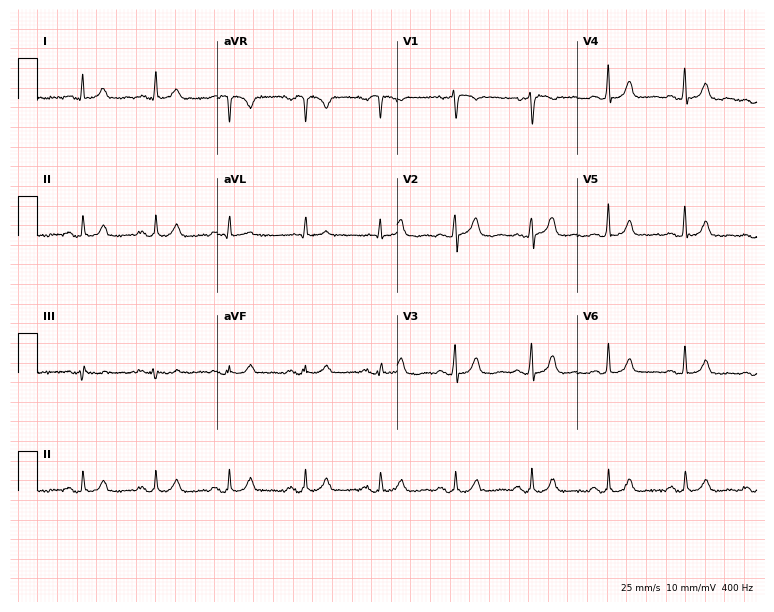
12-lead ECG from a female, 71 years old. No first-degree AV block, right bundle branch block, left bundle branch block, sinus bradycardia, atrial fibrillation or sinus tachycardia recorded for this tracing.